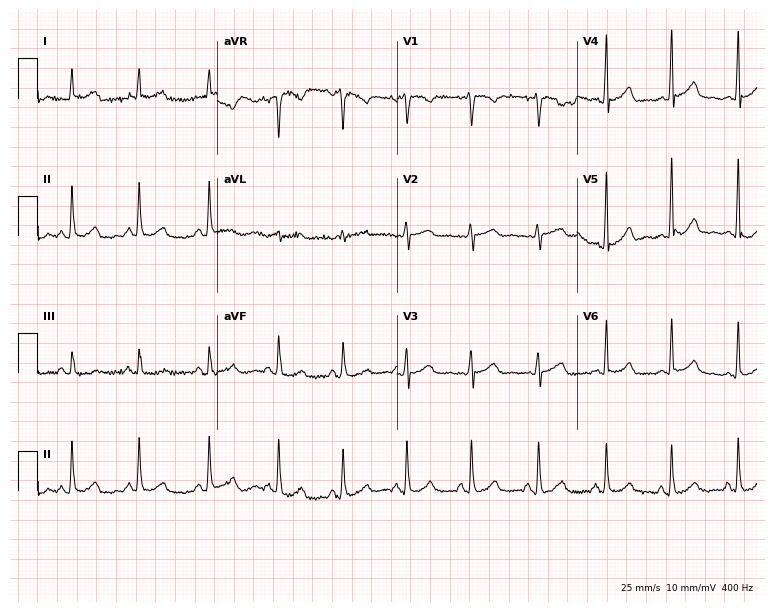
12-lead ECG from a 48-year-old female. Recorded interpretation: within normal limits.